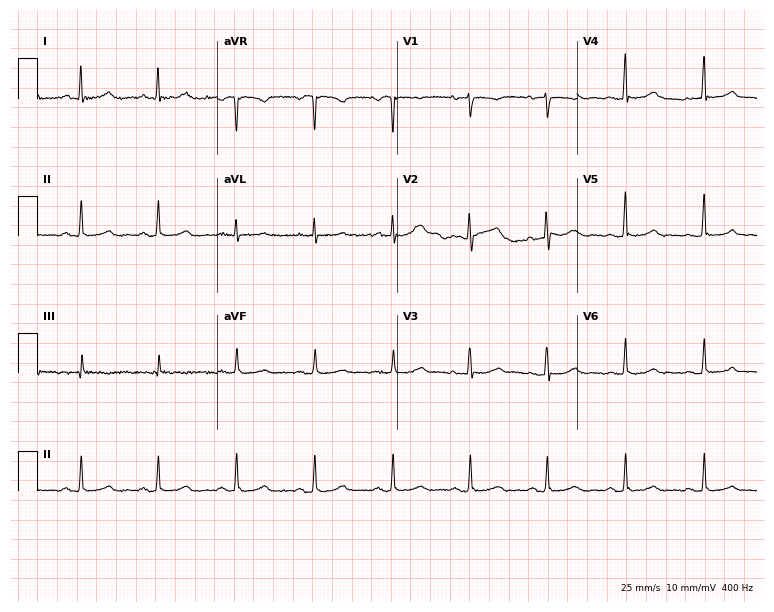
12-lead ECG from a female patient, 43 years old. No first-degree AV block, right bundle branch block, left bundle branch block, sinus bradycardia, atrial fibrillation or sinus tachycardia recorded for this tracing.